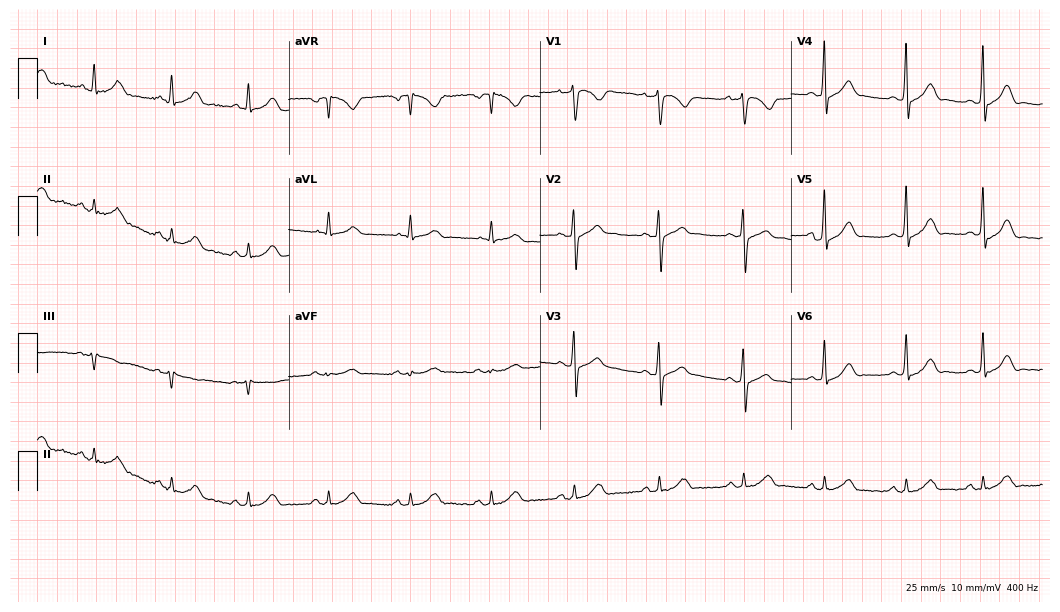
Standard 12-lead ECG recorded from a male, 28 years old (10.2-second recording at 400 Hz). None of these six findings is recorded: first-degree AV block, right bundle branch block, left bundle branch block, sinus bradycardia, atrial fibrillation, sinus tachycardia. Other findings, if any, are not listed.